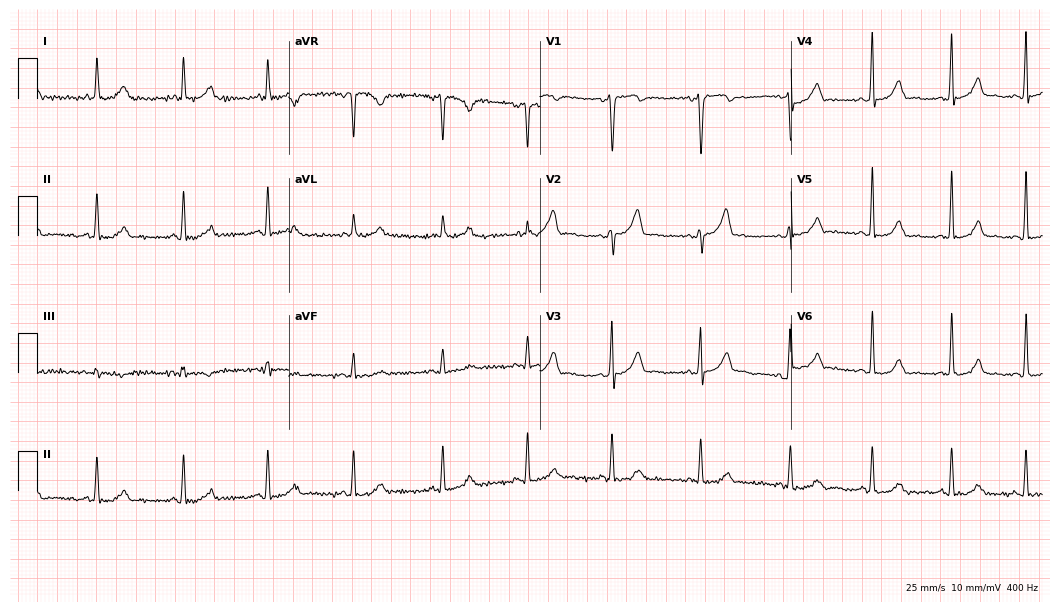
Electrocardiogram (10.2-second recording at 400 Hz), a man, 28 years old. Of the six screened findings (first-degree AV block, right bundle branch block, left bundle branch block, sinus bradycardia, atrial fibrillation, sinus tachycardia), none is recorded.